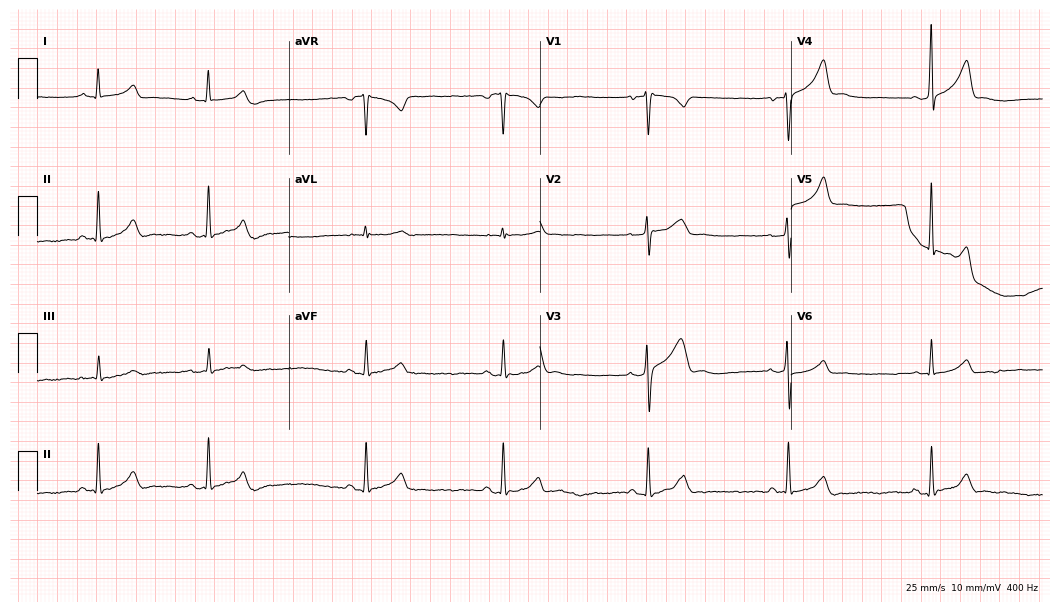
Electrocardiogram, a man, 40 years old. Of the six screened findings (first-degree AV block, right bundle branch block, left bundle branch block, sinus bradycardia, atrial fibrillation, sinus tachycardia), none is recorded.